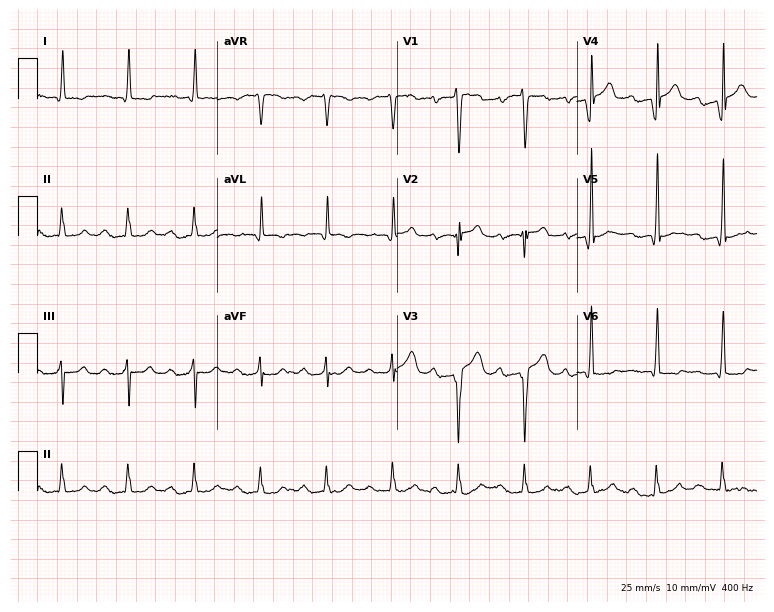
12-lead ECG (7.3-second recording at 400 Hz) from a 77-year-old male patient. Findings include first-degree AV block.